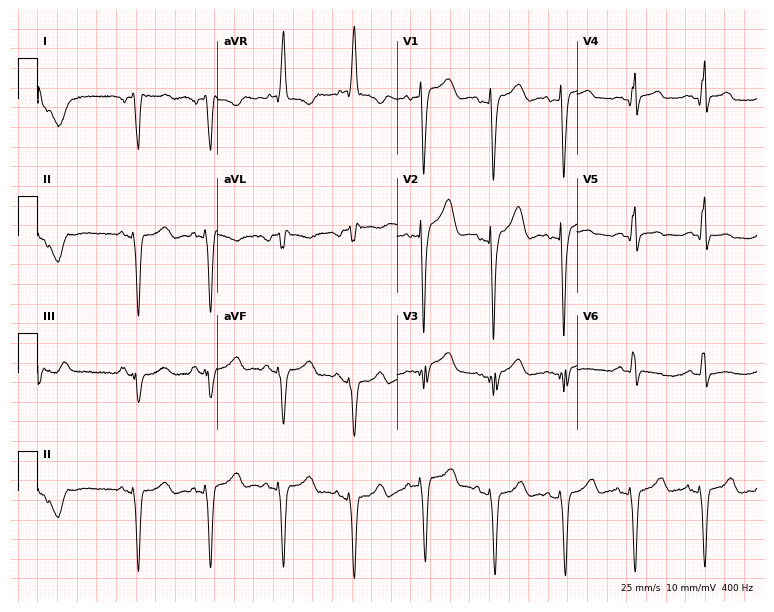
ECG (7.3-second recording at 400 Hz) — a 52-year-old female patient. Screened for six findings — first-degree AV block, right bundle branch block, left bundle branch block, sinus bradycardia, atrial fibrillation, sinus tachycardia — none is recorded.